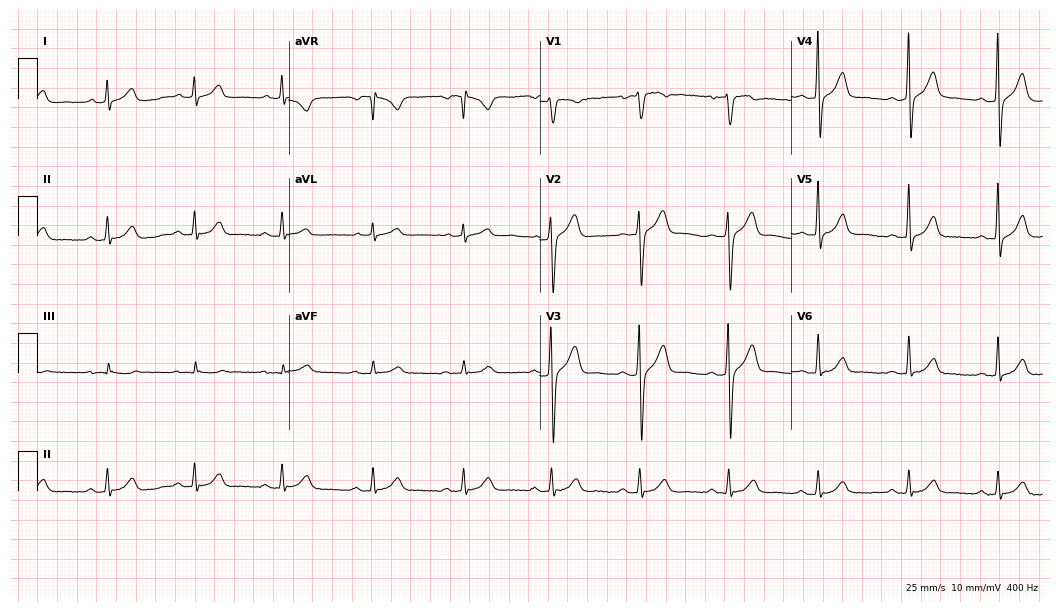
Resting 12-lead electrocardiogram. Patient: a male, 51 years old. Read as a normal ECG.